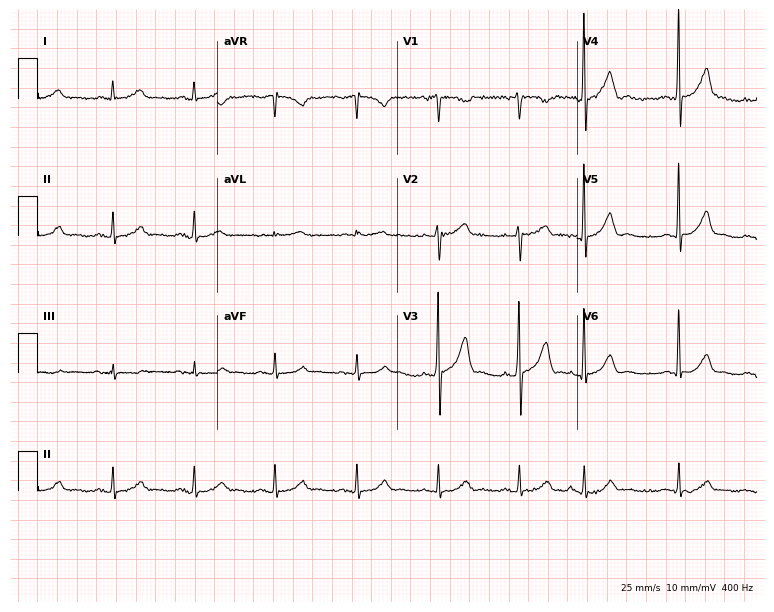
ECG (7.3-second recording at 400 Hz) — a 71-year-old male patient. Screened for six findings — first-degree AV block, right bundle branch block, left bundle branch block, sinus bradycardia, atrial fibrillation, sinus tachycardia — none is recorded. Only these six findings were labelled.